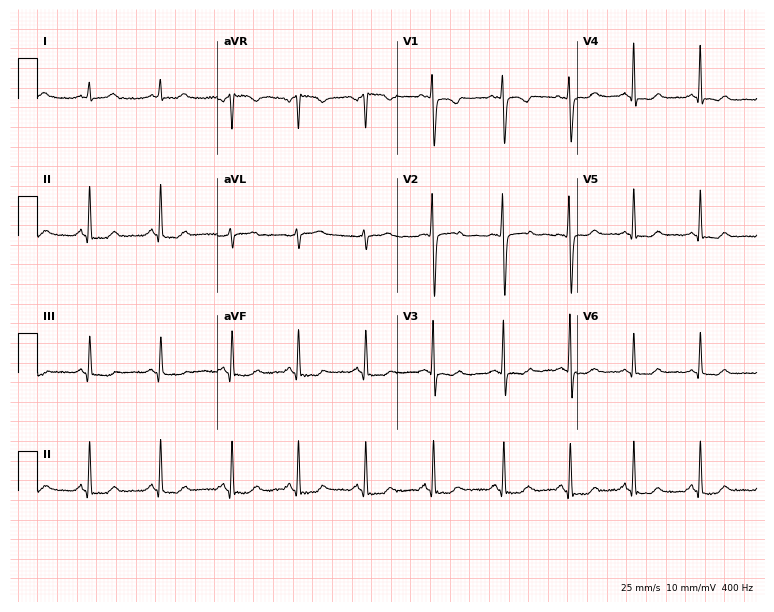
Resting 12-lead electrocardiogram. Patient: a woman, 23 years old. None of these six findings is recorded: first-degree AV block, right bundle branch block, left bundle branch block, sinus bradycardia, atrial fibrillation, sinus tachycardia.